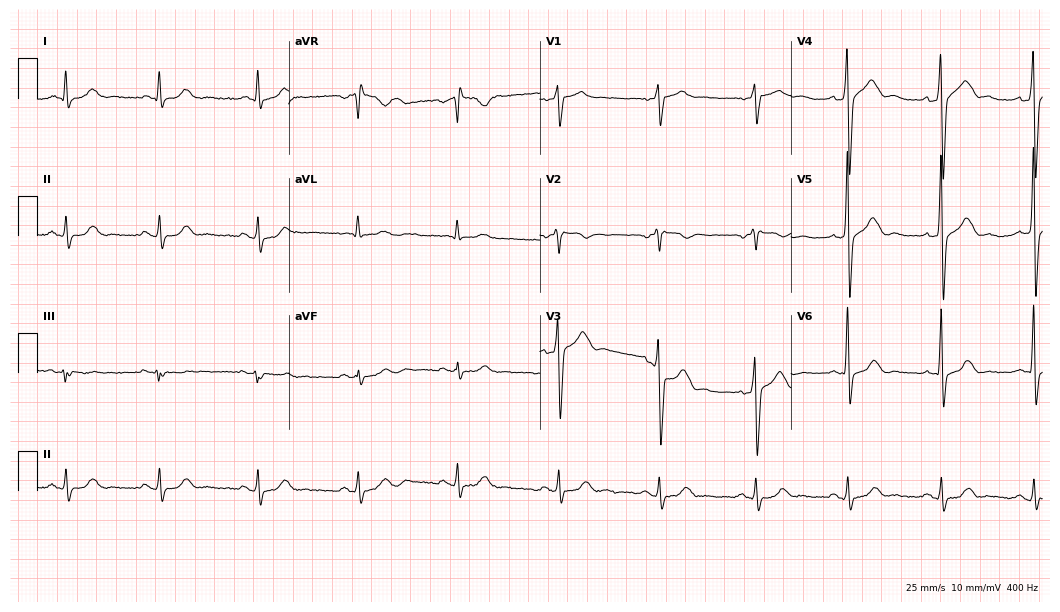
Standard 12-lead ECG recorded from a man, 65 years old (10.2-second recording at 400 Hz). None of these six findings is recorded: first-degree AV block, right bundle branch block (RBBB), left bundle branch block (LBBB), sinus bradycardia, atrial fibrillation (AF), sinus tachycardia.